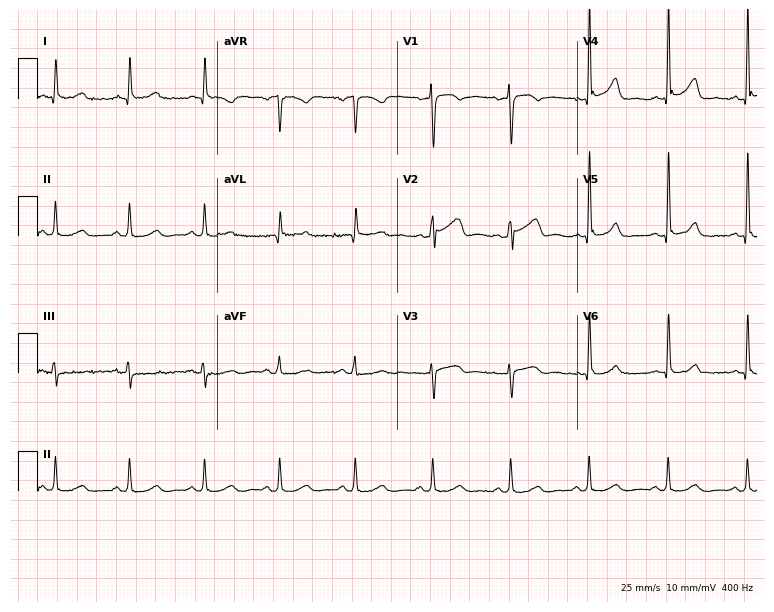
Resting 12-lead electrocardiogram. Patient: a 51-year-old male. Read as a normal ECG.